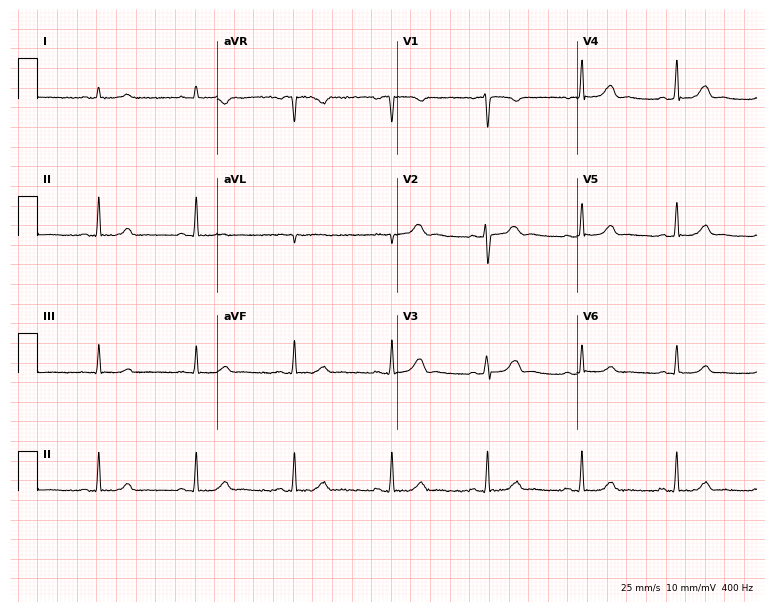
Resting 12-lead electrocardiogram (7.3-second recording at 400 Hz). Patient: a 38-year-old female. None of these six findings is recorded: first-degree AV block, right bundle branch block, left bundle branch block, sinus bradycardia, atrial fibrillation, sinus tachycardia.